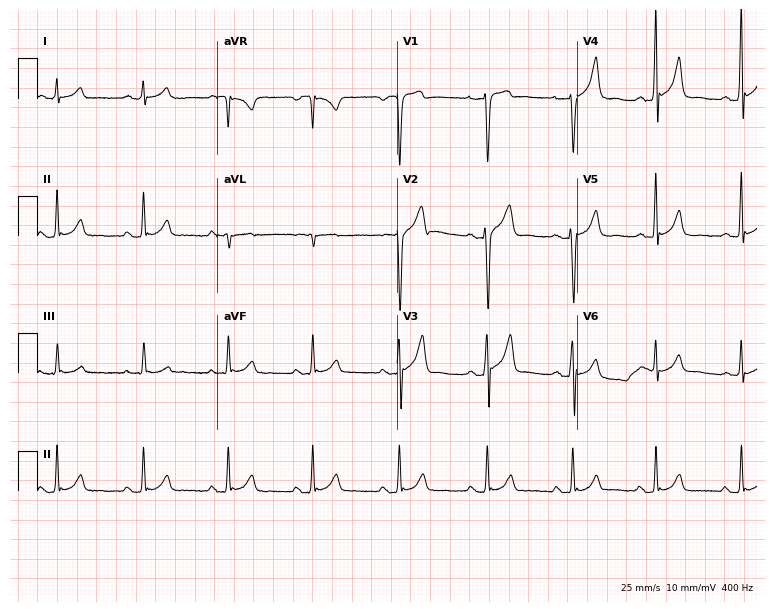
Resting 12-lead electrocardiogram. Patient: a 46-year-old male. None of these six findings is recorded: first-degree AV block, right bundle branch block (RBBB), left bundle branch block (LBBB), sinus bradycardia, atrial fibrillation (AF), sinus tachycardia. Findings outside these six are not listed.